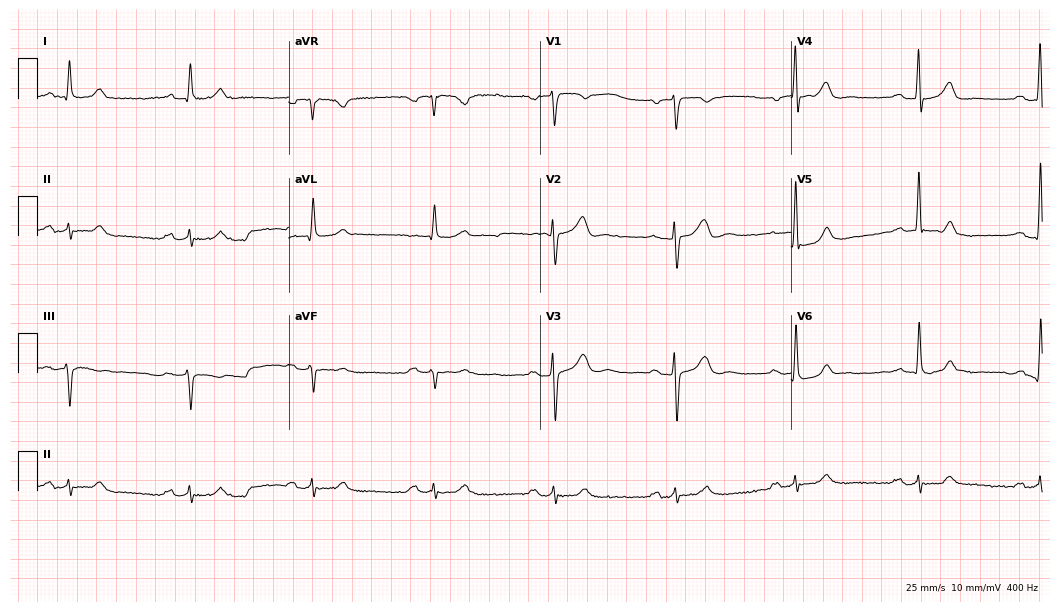
Electrocardiogram (10.2-second recording at 400 Hz), a man, 81 years old. Of the six screened findings (first-degree AV block, right bundle branch block, left bundle branch block, sinus bradycardia, atrial fibrillation, sinus tachycardia), none is recorded.